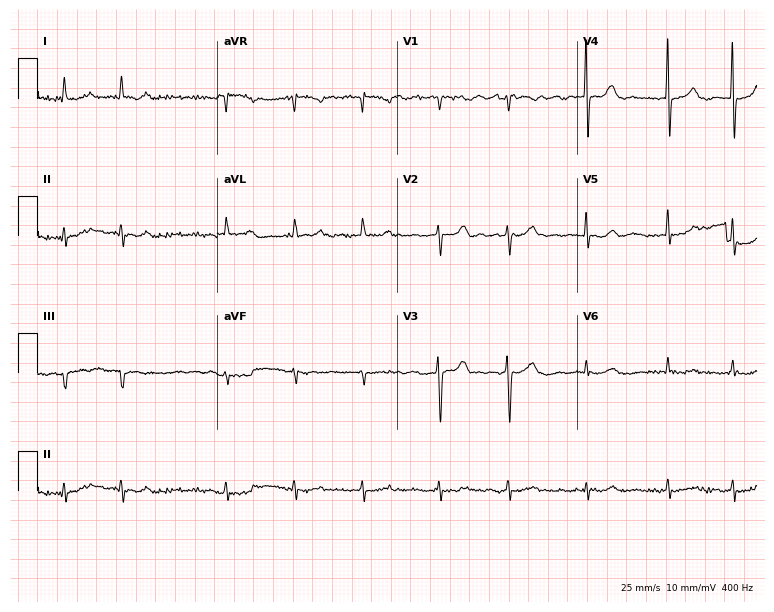
Electrocardiogram, a 78-year-old female patient. Interpretation includes atrial fibrillation.